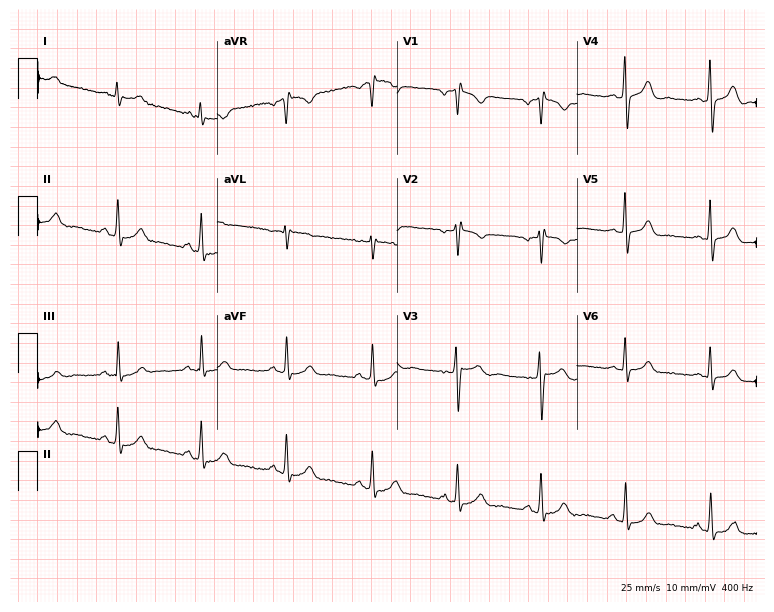
Resting 12-lead electrocardiogram (7.3-second recording at 400 Hz). Patient: a female, 49 years old. None of these six findings is recorded: first-degree AV block, right bundle branch block, left bundle branch block, sinus bradycardia, atrial fibrillation, sinus tachycardia. Findings outside these six are not listed.